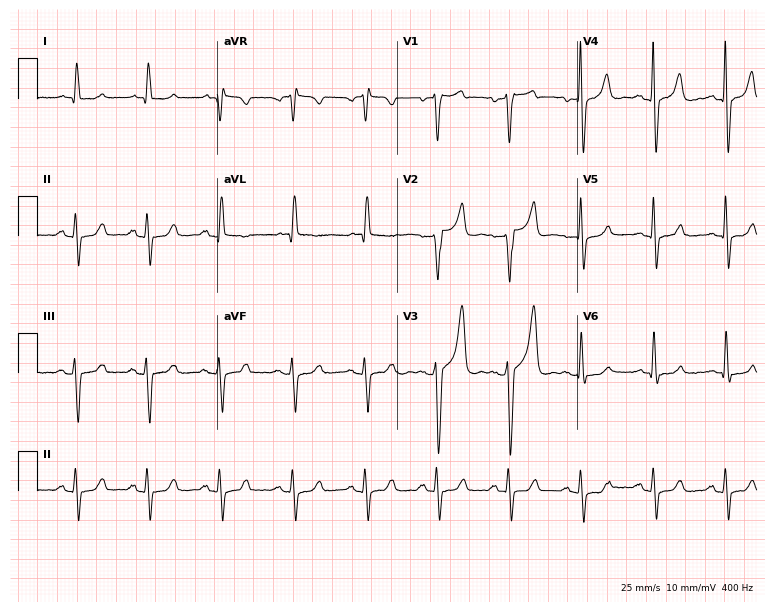
ECG (7.3-second recording at 400 Hz) — a 57-year-old male. Screened for six findings — first-degree AV block, right bundle branch block, left bundle branch block, sinus bradycardia, atrial fibrillation, sinus tachycardia — none is recorded.